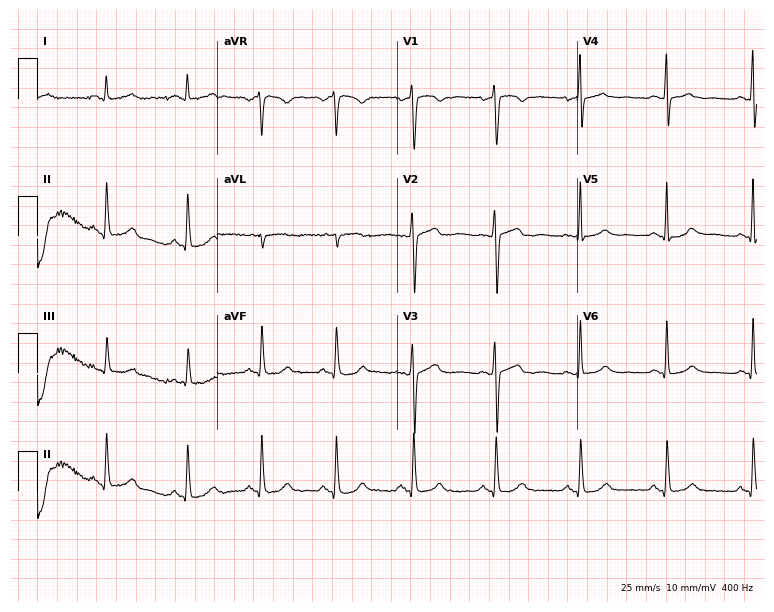
Resting 12-lead electrocardiogram (7.3-second recording at 400 Hz). Patient: a female, 46 years old. Read as a normal ECG.